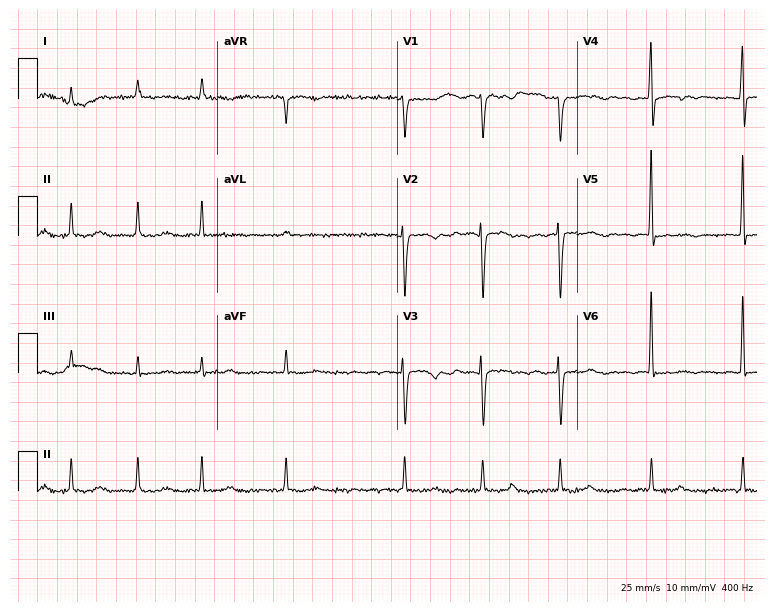
12-lead ECG from a female, 61 years old. Screened for six findings — first-degree AV block, right bundle branch block, left bundle branch block, sinus bradycardia, atrial fibrillation, sinus tachycardia — none is recorded.